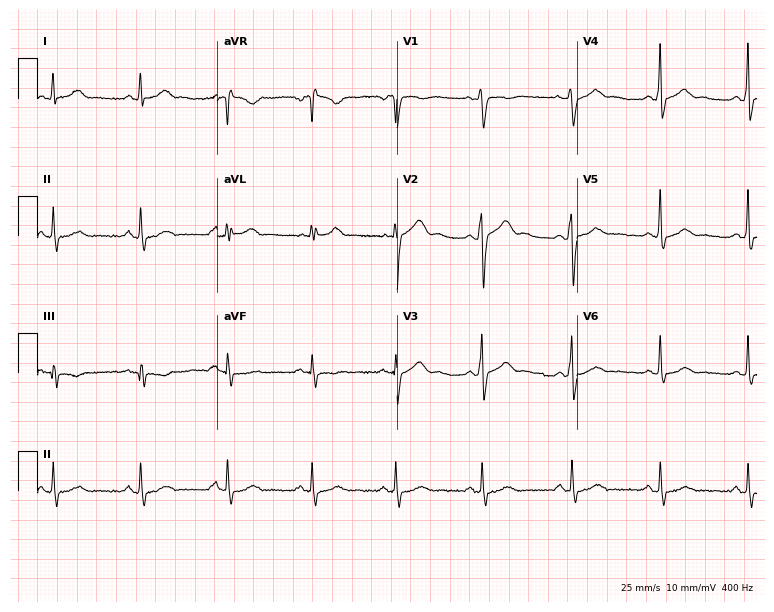
Resting 12-lead electrocardiogram. Patient: a male, 36 years old. None of these six findings is recorded: first-degree AV block, right bundle branch block, left bundle branch block, sinus bradycardia, atrial fibrillation, sinus tachycardia. Only these six findings were labelled.